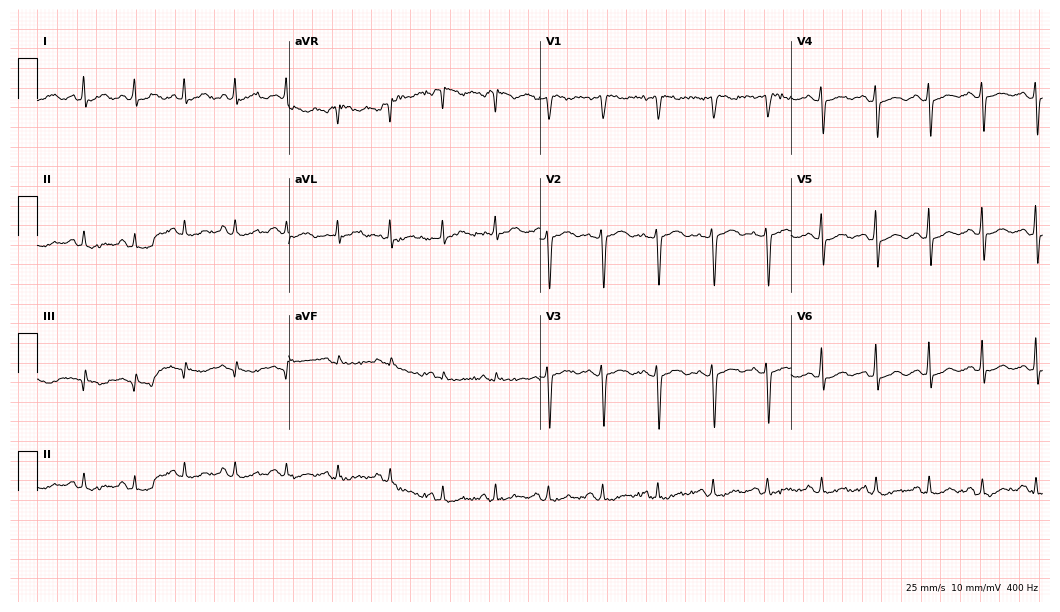
12-lead ECG from a female patient, 53 years old. Shows sinus tachycardia (a sinus rate of 100 beats per minute or more).